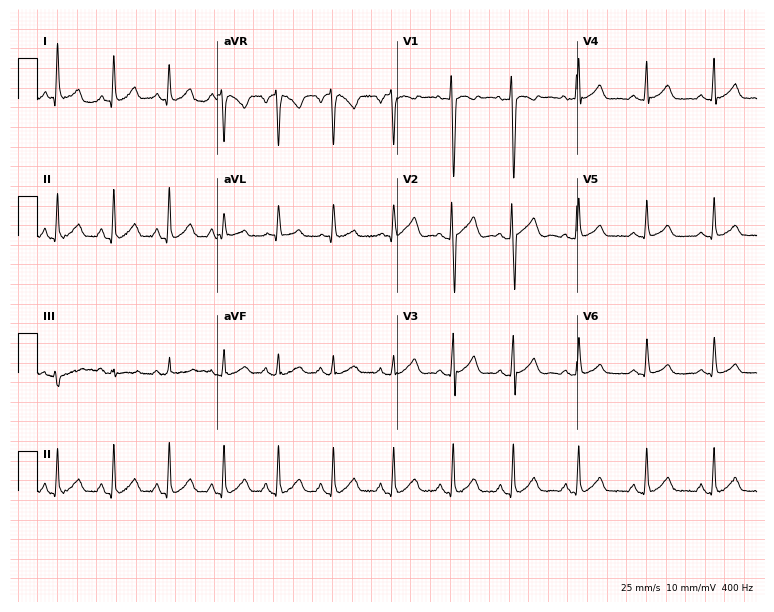
Electrocardiogram, a woman, 35 years old. Of the six screened findings (first-degree AV block, right bundle branch block (RBBB), left bundle branch block (LBBB), sinus bradycardia, atrial fibrillation (AF), sinus tachycardia), none is recorded.